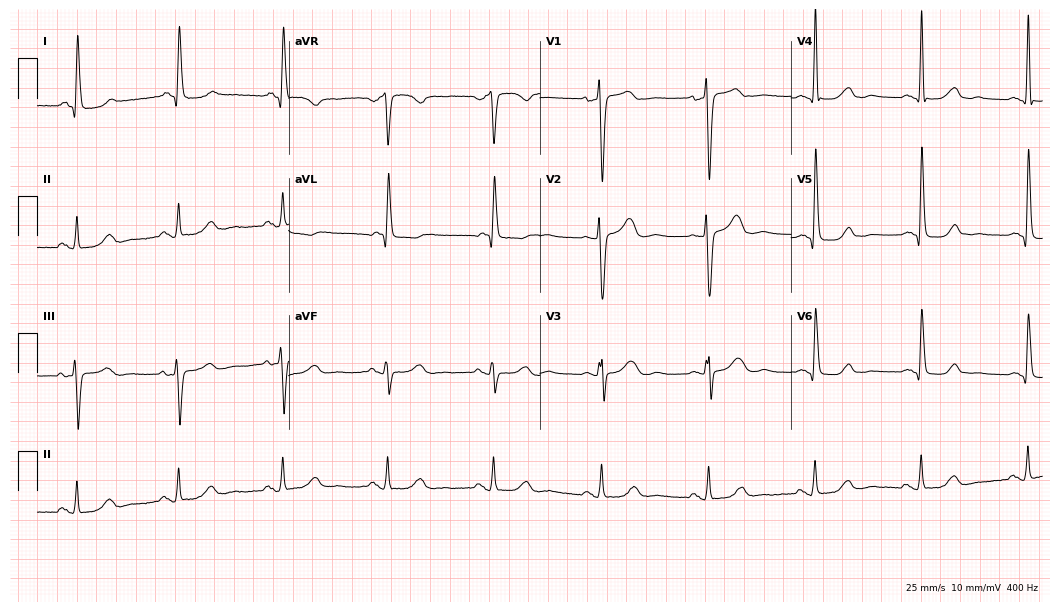
Standard 12-lead ECG recorded from a 63-year-old woman (10.2-second recording at 400 Hz). None of these six findings is recorded: first-degree AV block, right bundle branch block, left bundle branch block, sinus bradycardia, atrial fibrillation, sinus tachycardia.